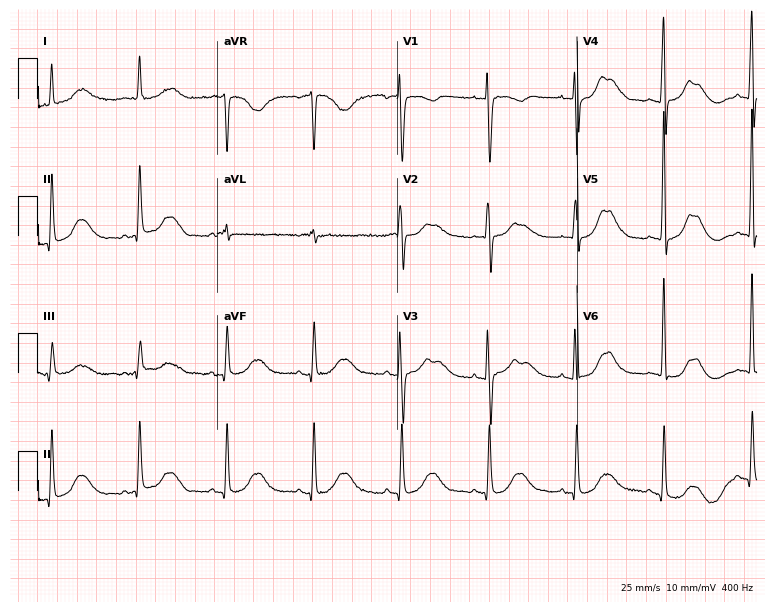
ECG — a woman, 82 years old. Labelled as a normal ECG.